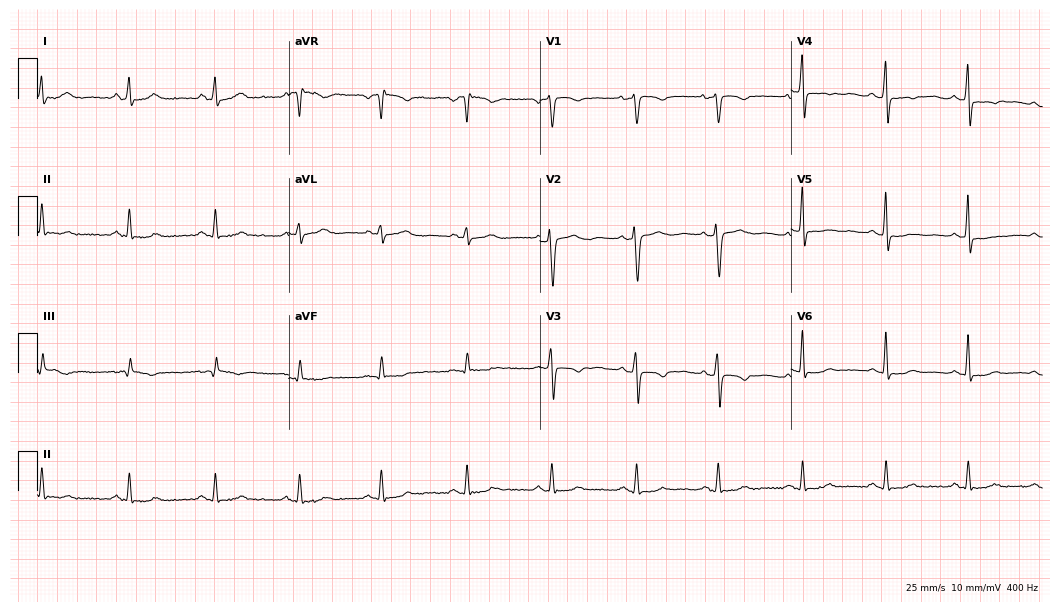
Electrocardiogram (10.2-second recording at 400 Hz), a 42-year-old woman. Of the six screened findings (first-degree AV block, right bundle branch block (RBBB), left bundle branch block (LBBB), sinus bradycardia, atrial fibrillation (AF), sinus tachycardia), none is recorded.